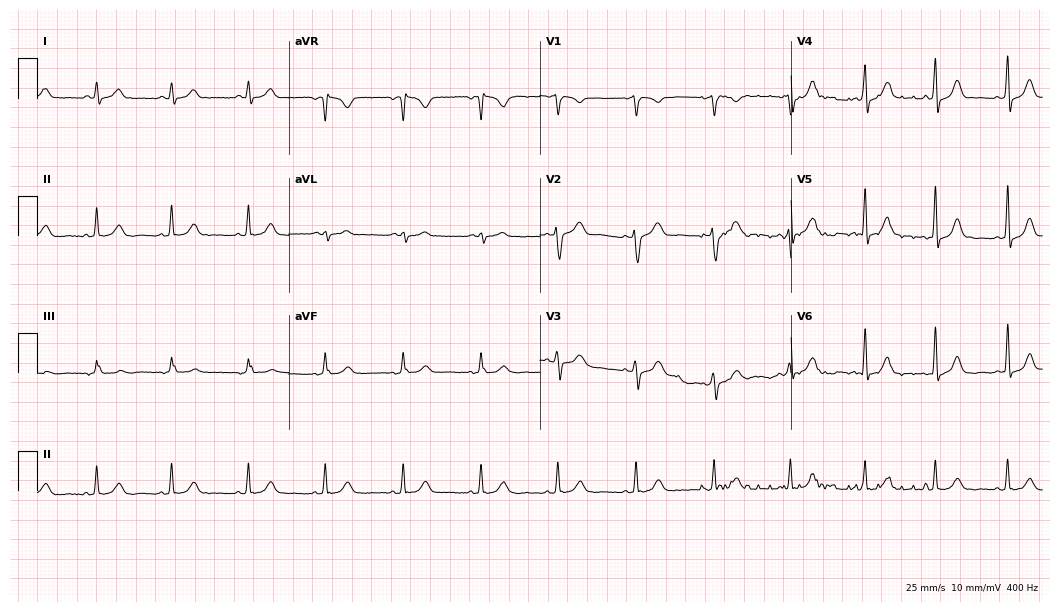
12-lead ECG (10.2-second recording at 400 Hz) from a 39-year-old female. Screened for six findings — first-degree AV block, right bundle branch block (RBBB), left bundle branch block (LBBB), sinus bradycardia, atrial fibrillation (AF), sinus tachycardia — none is recorded.